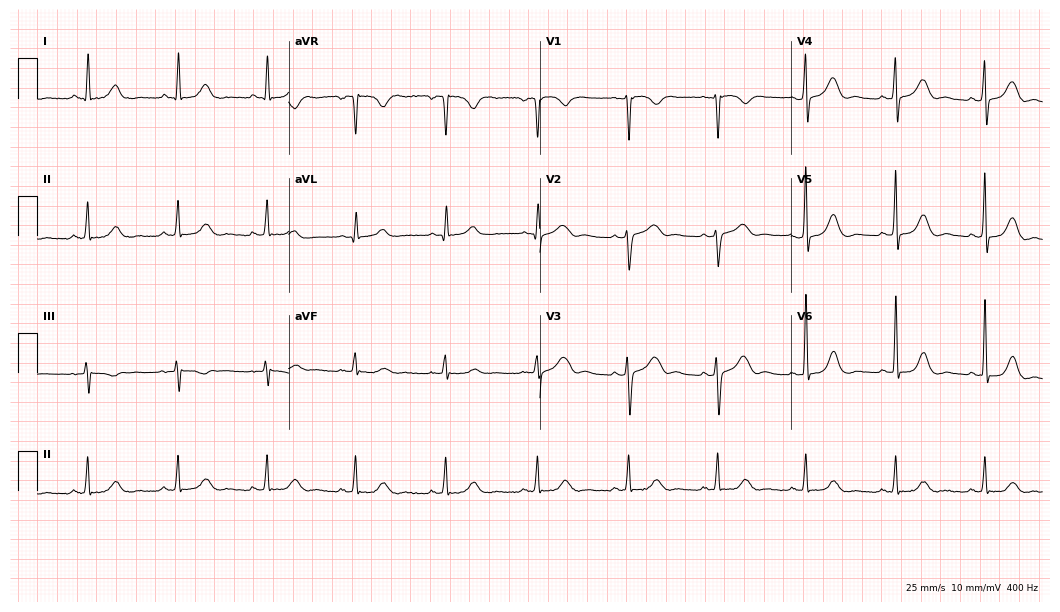
12-lead ECG (10.2-second recording at 400 Hz) from a woman, 55 years old. Screened for six findings — first-degree AV block, right bundle branch block (RBBB), left bundle branch block (LBBB), sinus bradycardia, atrial fibrillation (AF), sinus tachycardia — none is recorded.